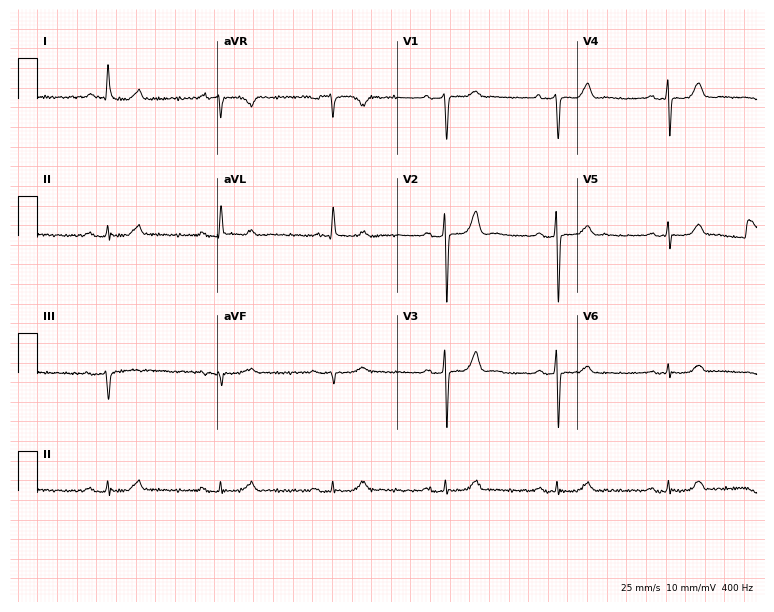
ECG — a male, 75 years old. Screened for six findings — first-degree AV block, right bundle branch block (RBBB), left bundle branch block (LBBB), sinus bradycardia, atrial fibrillation (AF), sinus tachycardia — none is recorded. Findings outside these six are not listed.